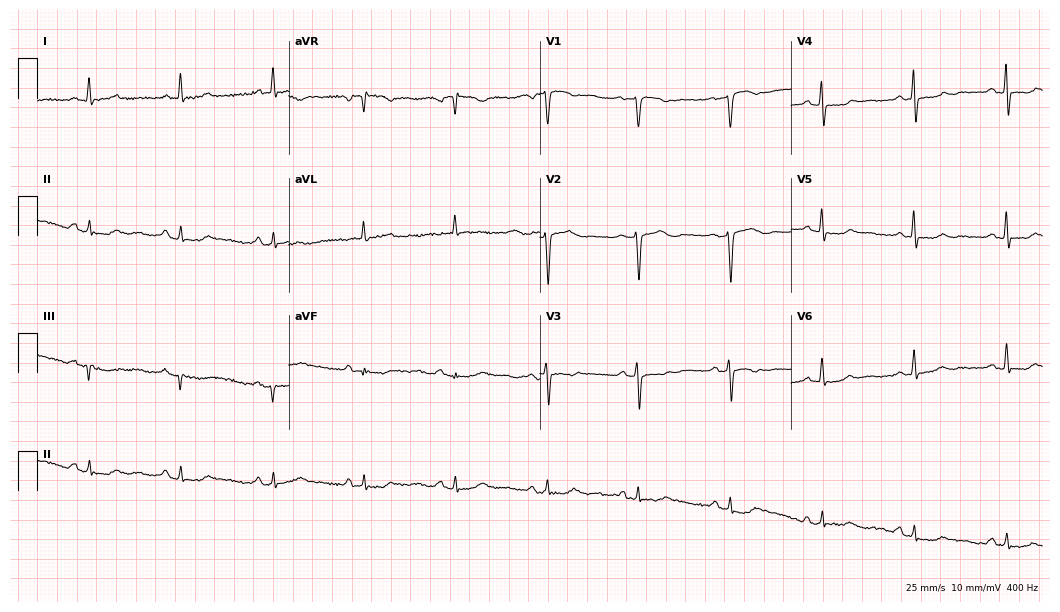
12-lead ECG (10.2-second recording at 400 Hz) from a 59-year-old female. Labelled as a normal ECG.